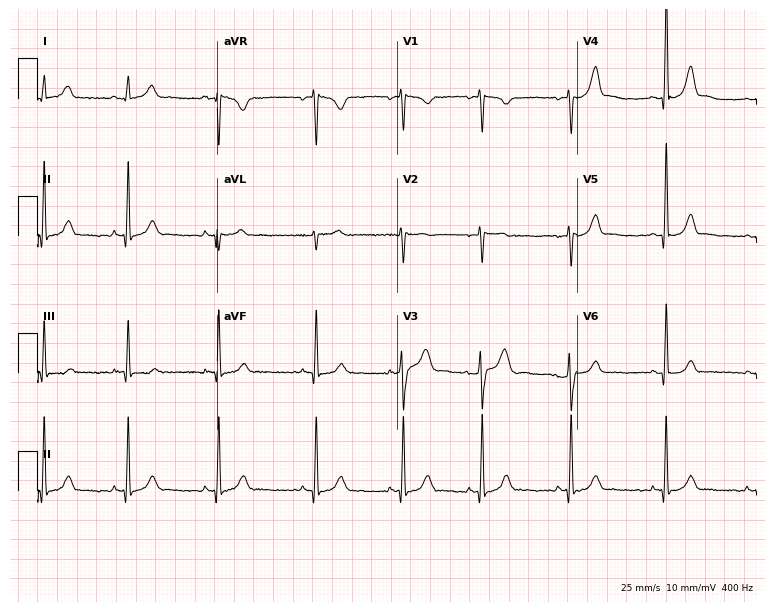
Electrocardiogram, a female, 30 years old. Overall reading on record: normal ECG.